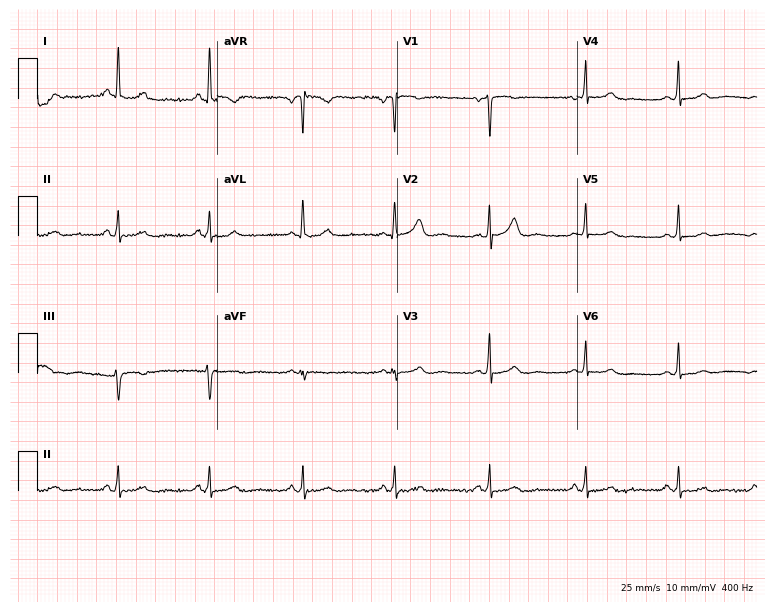
ECG (7.3-second recording at 400 Hz) — a woman, 36 years old. Labelled as a normal ECG.